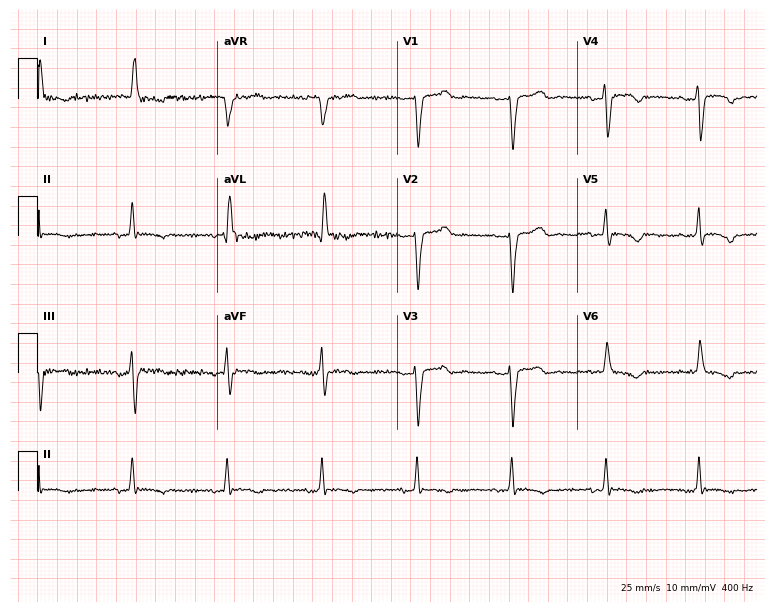
ECG (7.3-second recording at 400 Hz) — a female patient, 71 years old. Screened for six findings — first-degree AV block, right bundle branch block, left bundle branch block, sinus bradycardia, atrial fibrillation, sinus tachycardia — none is recorded.